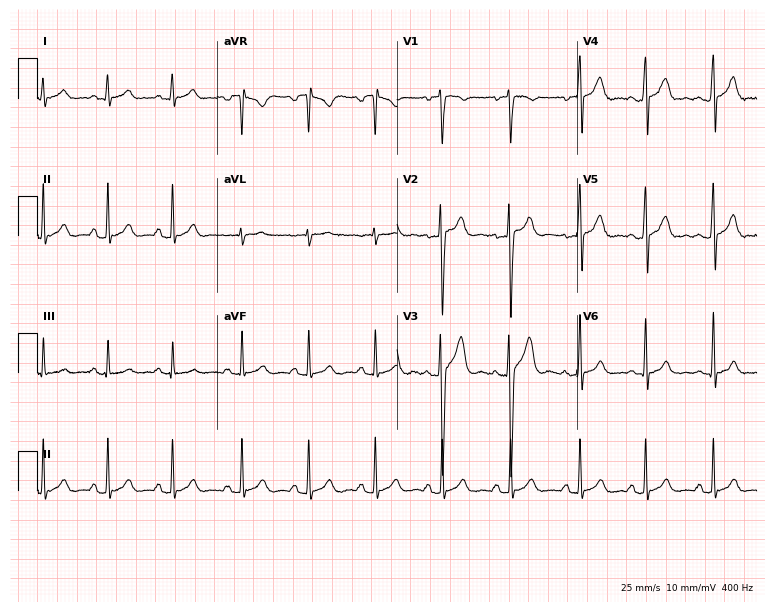
12-lead ECG from a male patient, 20 years old. Recorded interpretation: within normal limits.